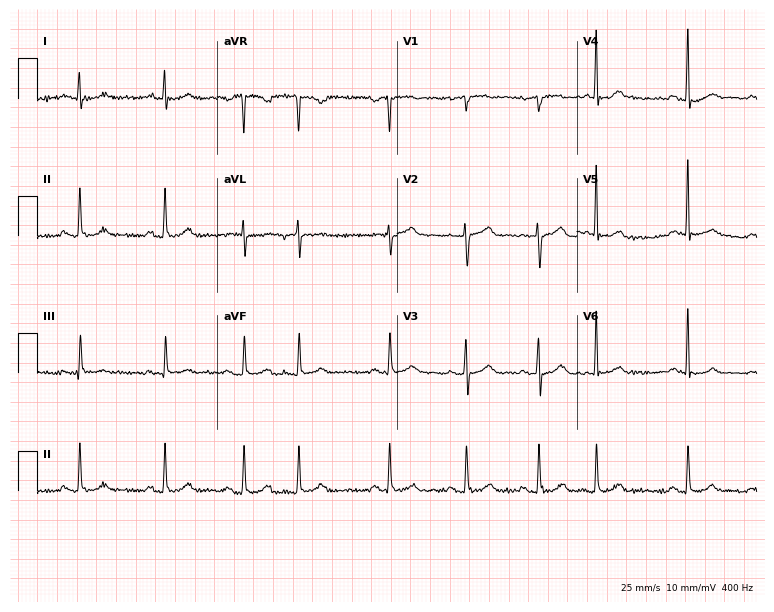
Standard 12-lead ECG recorded from a 76-year-old male. None of these six findings is recorded: first-degree AV block, right bundle branch block, left bundle branch block, sinus bradycardia, atrial fibrillation, sinus tachycardia.